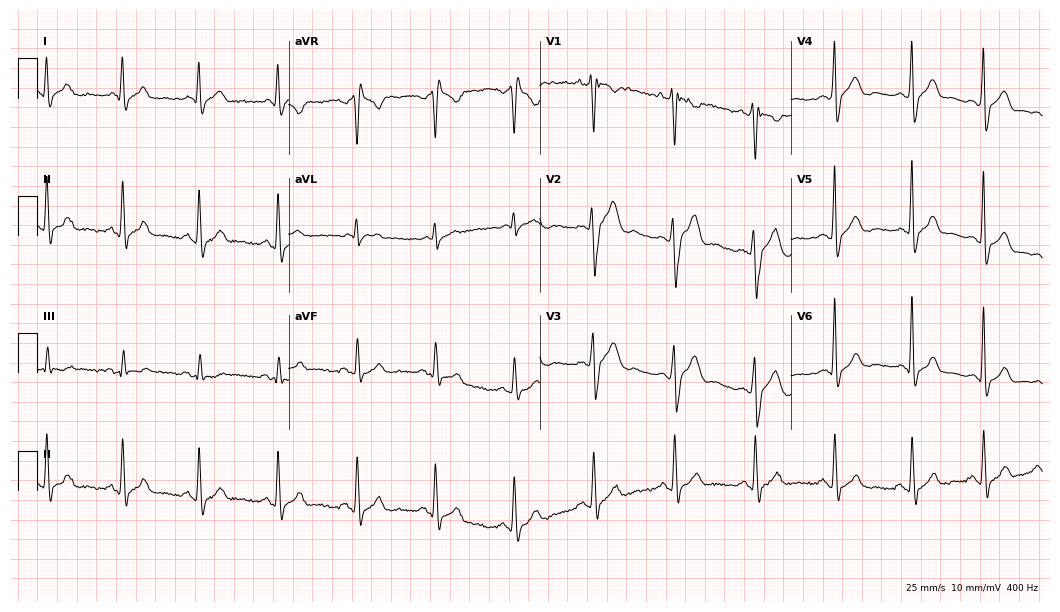
12-lead ECG from a 22-year-old man. No first-degree AV block, right bundle branch block, left bundle branch block, sinus bradycardia, atrial fibrillation or sinus tachycardia recorded for this tracing. Only these six findings were labelled.